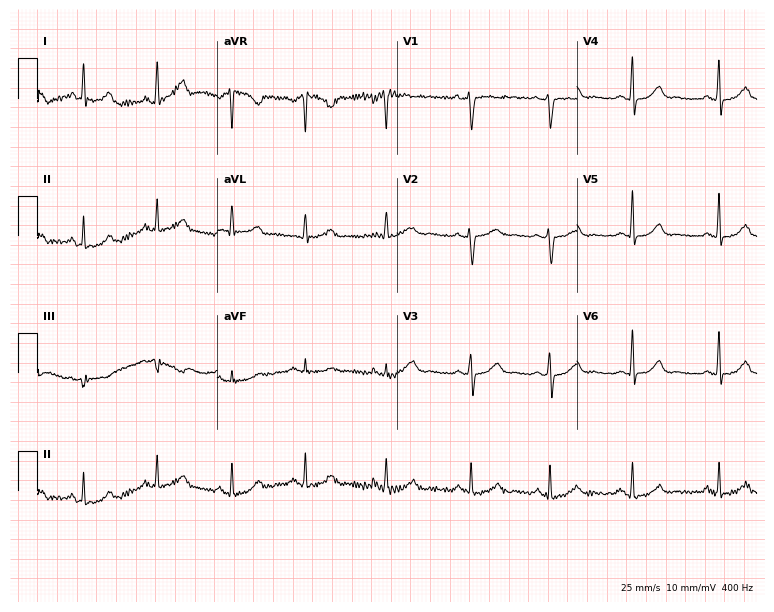
12-lead ECG from a 44-year-old female patient. Screened for six findings — first-degree AV block, right bundle branch block, left bundle branch block, sinus bradycardia, atrial fibrillation, sinus tachycardia — none is recorded.